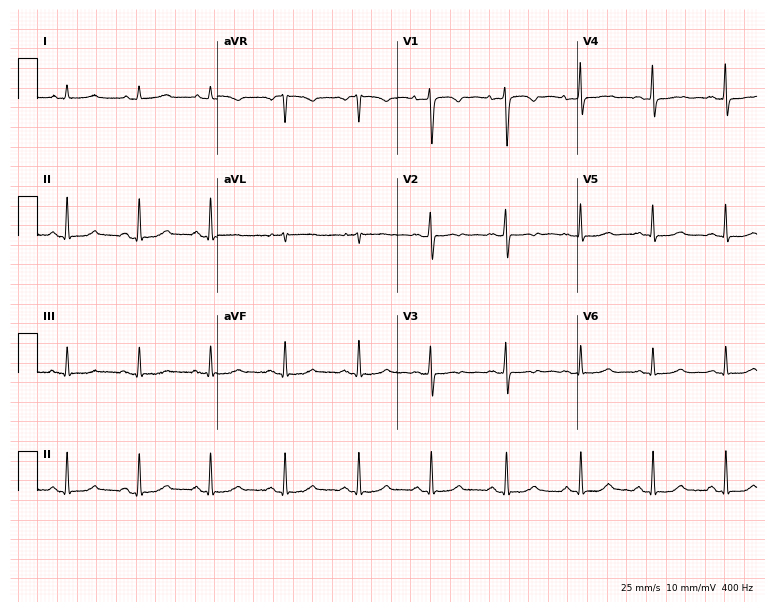
12-lead ECG from a woman, 43 years old. Screened for six findings — first-degree AV block, right bundle branch block, left bundle branch block, sinus bradycardia, atrial fibrillation, sinus tachycardia — none is recorded. Findings outside these six are not listed.